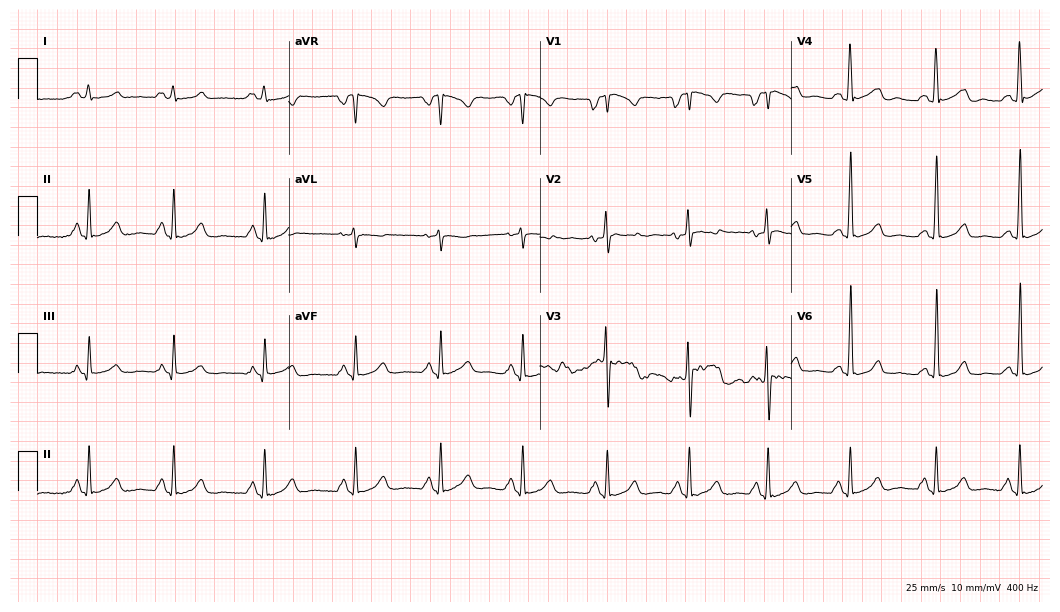
Resting 12-lead electrocardiogram. Patient: a 31-year-old female. None of these six findings is recorded: first-degree AV block, right bundle branch block, left bundle branch block, sinus bradycardia, atrial fibrillation, sinus tachycardia.